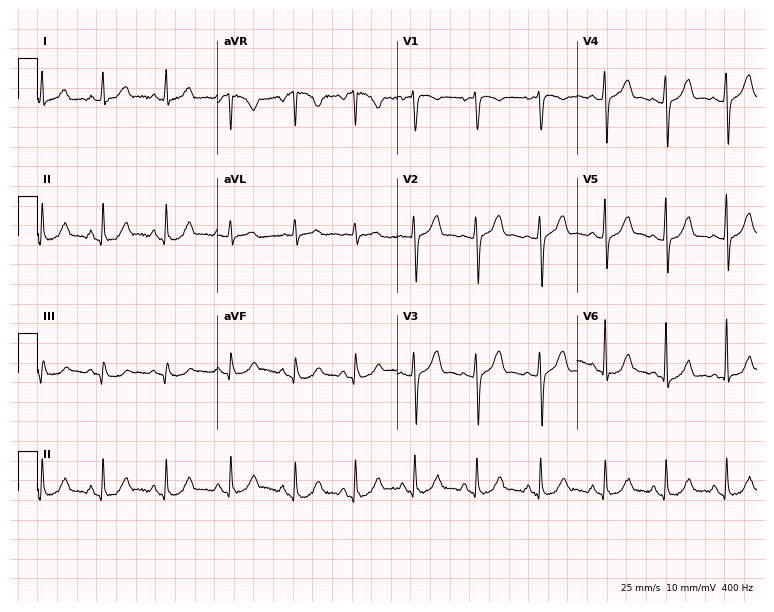
Standard 12-lead ECG recorded from a 46-year-old woman. None of these six findings is recorded: first-degree AV block, right bundle branch block, left bundle branch block, sinus bradycardia, atrial fibrillation, sinus tachycardia.